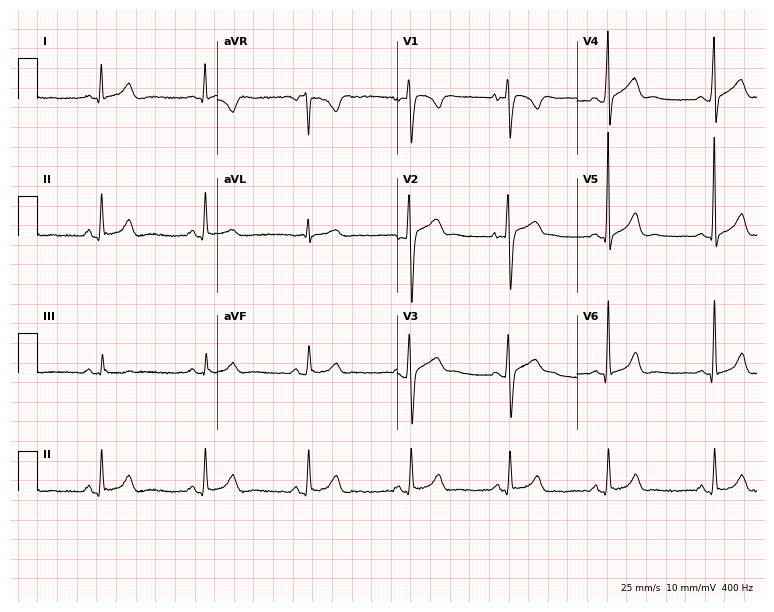
12-lead ECG from a 24-year-old male patient. No first-degree AV block, right bundle branch block, left bundle branch block, sinus bradycardia, atrial fibrillation or sinus tachycardia recorded for this tracing. Other findings, if any, are not listed.